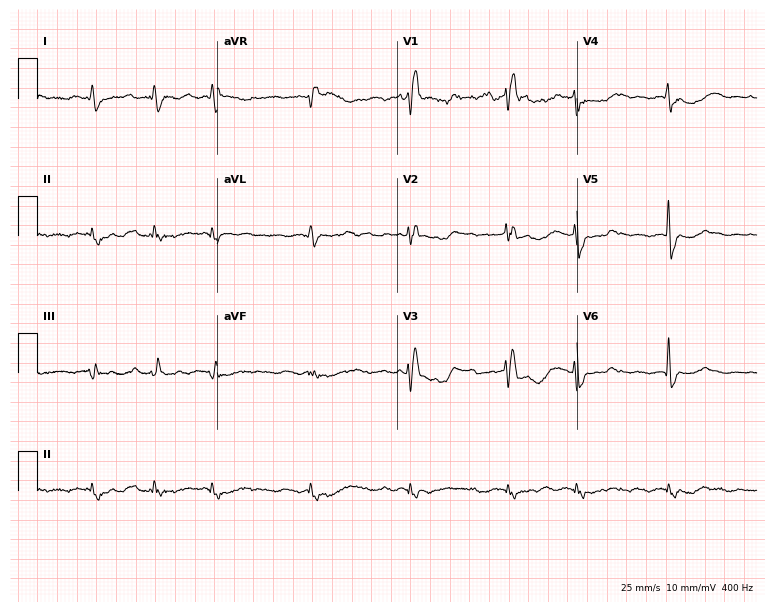
12-lead ECG (7.3-second recording at 400 Hz) from a woman, 56 years old. Findings include right bundle branch block, atrial fibrillation.